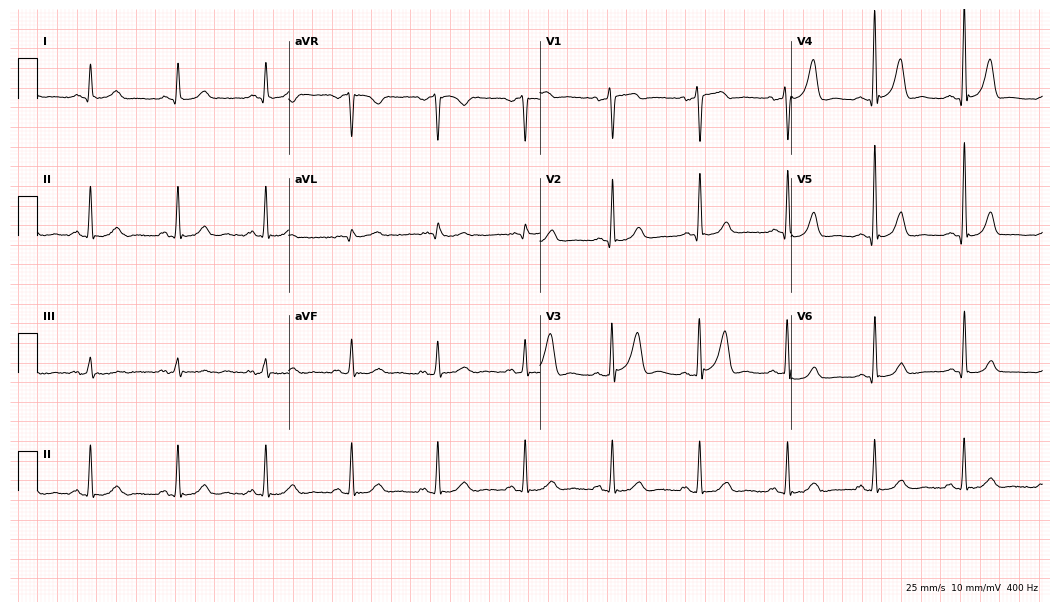
Standard 12-lead ECG recorded from a male patient, 58 years old (10.2-second recording at 400 Hz). None of these six findings is recorded: first-degree AV block, right bundle branch block, left bundle branch block, sinus bradycardia, atrial fibrillation, sinus tachycardia. Only these six findings were labelled.